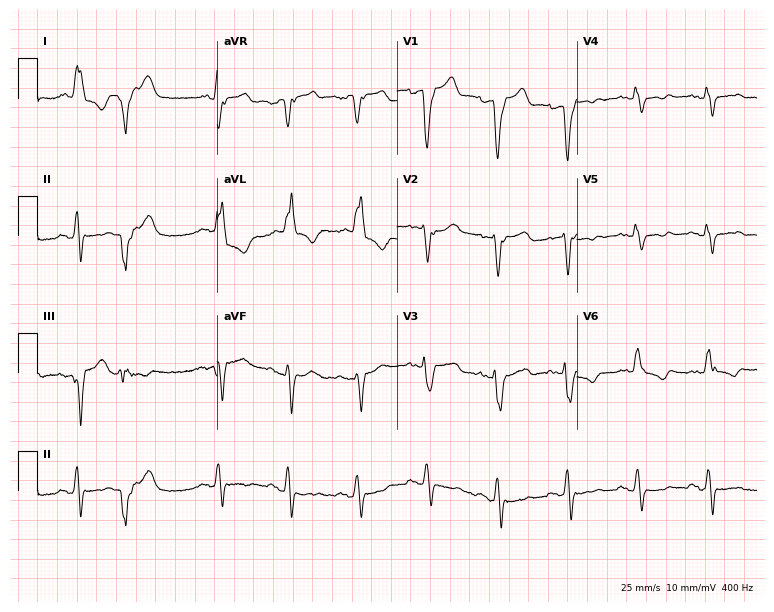
Standard 12-lead ECG recorded from a woman, 71 years old (7.3-second recording at 400 Hz). The tracing shows left bundle branch block.